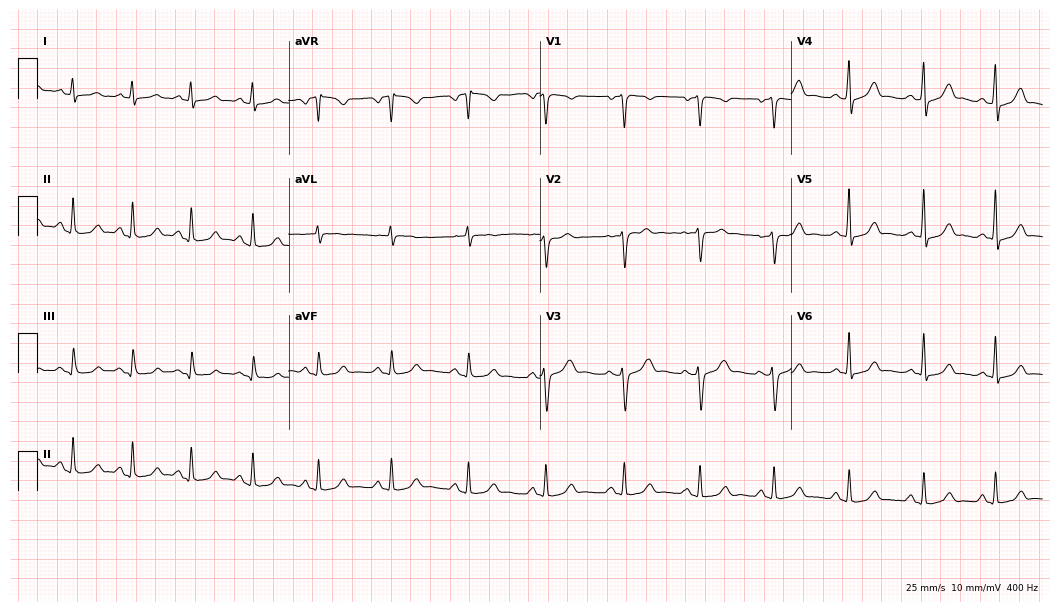
ECG — a 43-year-old female patient. Labelled as a normal ECG.